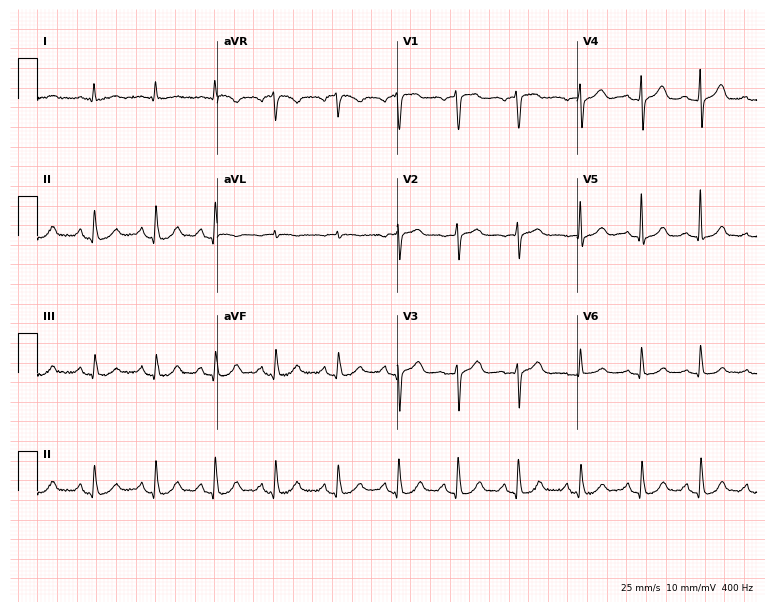
Electrocardiogram (7.3-second recording at 400 Hz), a 70-year-old woman. Of the six screened findings (first-degree AV block, right bundle branch block (RBBB), left bundle branch block (LBBB), sinus bradycardia, atrial fibrillation (AF), sinus tachycardia), none is recorded.